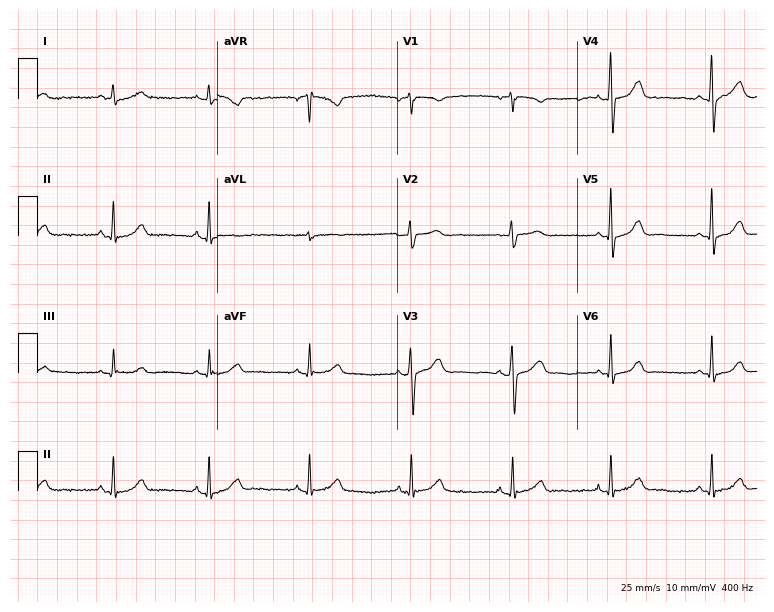
12-lead ECG from a 55-year-old female patient. Recorded interpretation: within normal limits.